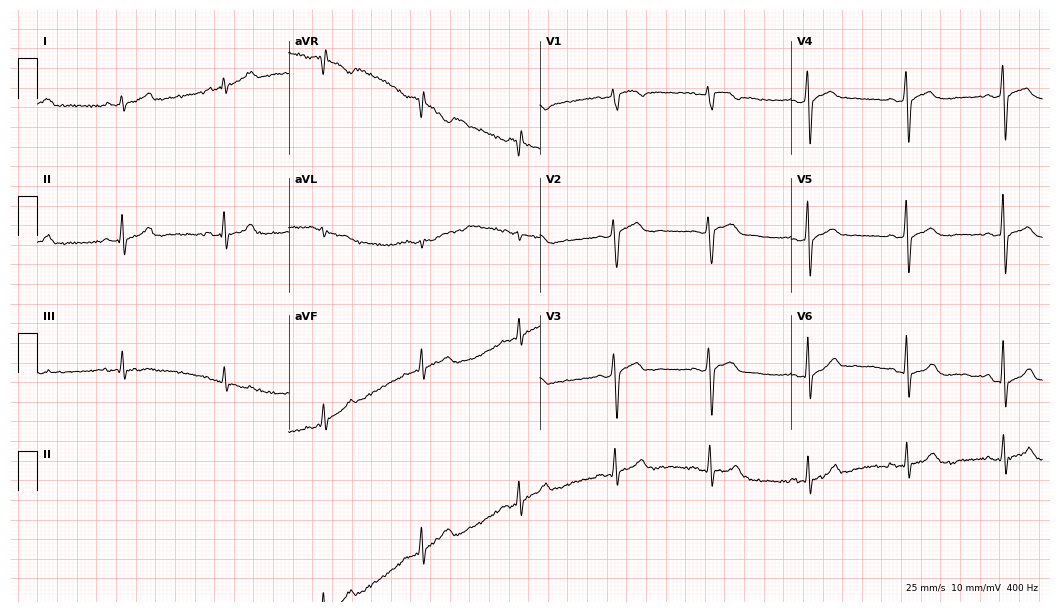
12-lead ECG from a 48-year-old female. Screened for six findings — first-degree AV block, right bundle branch block, left bundle branch block, sinus bradycardia, atrial fibrillation, sinus tachycardia — none is recorded.